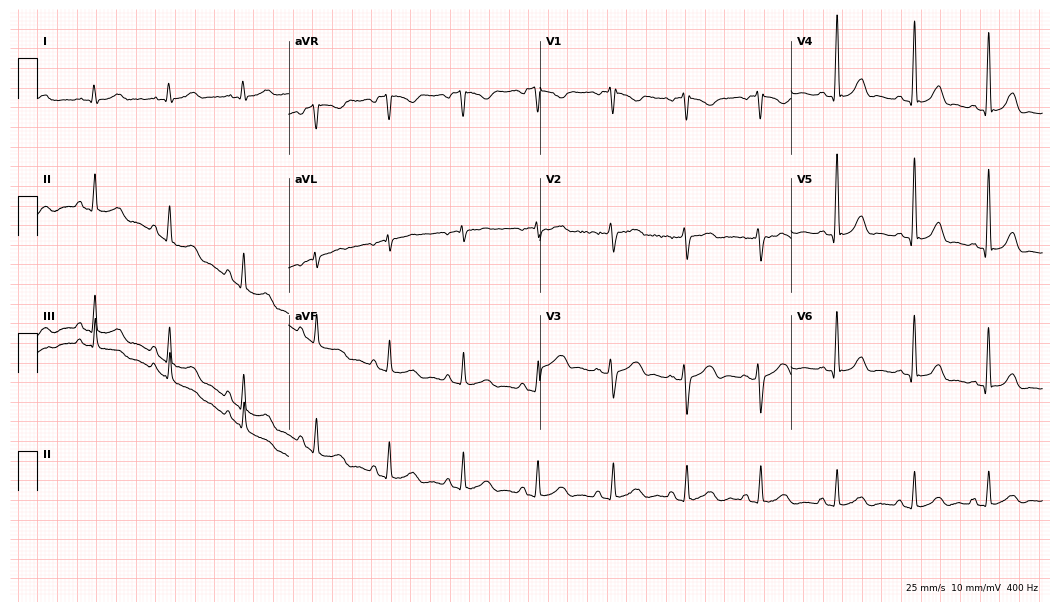
Electrocardiogram (10.2-second recording at 400 Hz), a woman, 40 years old. Of the six screened findings (first-degree AV block, right bundle branch block (RBBB), left bundle branch block (LBBB), sinus bradycardia, atrial fibrillation (AF), sinus tachycardia), none is recorded.